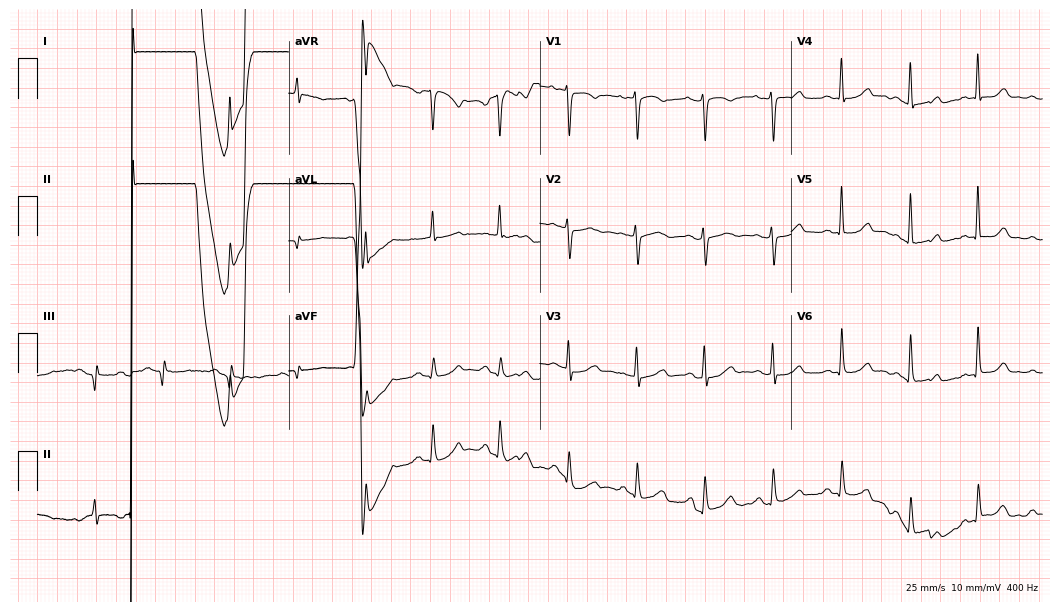
12-lead ECG from a female, 78 years old (10.2-second recording at 400 Hz). No first-degree AV block, right bundle branch block (RBBB), left bundle branch block (LBBB), sinus bradycardia, atrial fibrillation (AF) or sinus tachycardia recorded for this tracing. Findings outside these six are not listed.